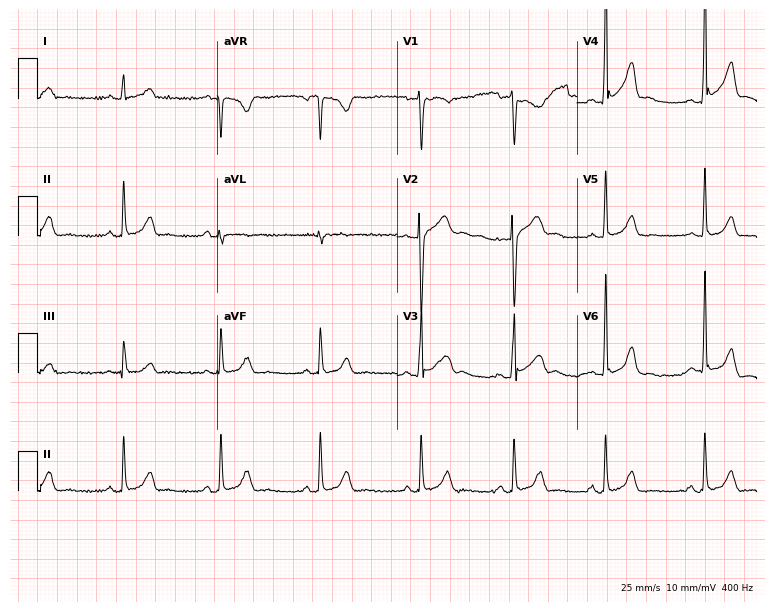
Resting 12-lead electrocardiogram (7.3-second recording at 400 Hz). Patient: a man, 32 years old. Read as a normal ECG.